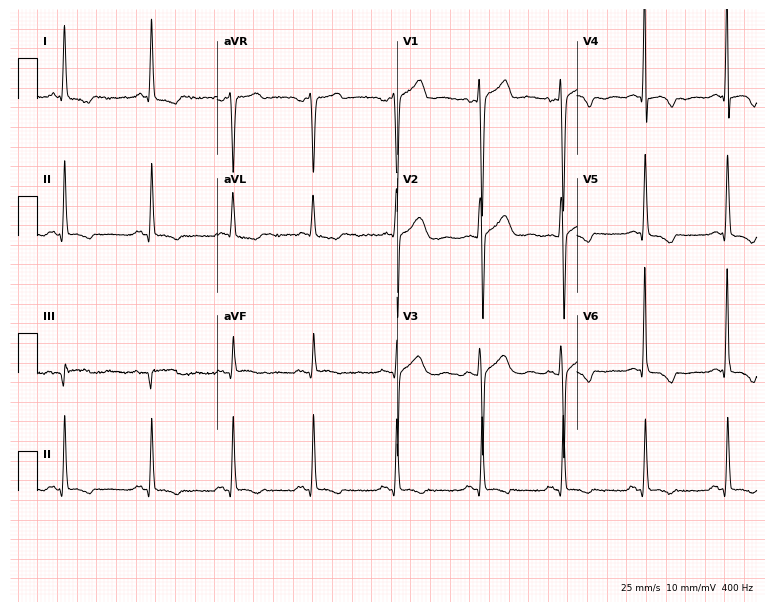
12-lead ECG from a 60-year-old female patient. Screened for six findings — first-degree AV block, right bundle branch block (RBBB), left bundle branch block (LBBB), sinus bradycardia, atrial fibrillation (AF), sinus tachycardia — none is recorded.